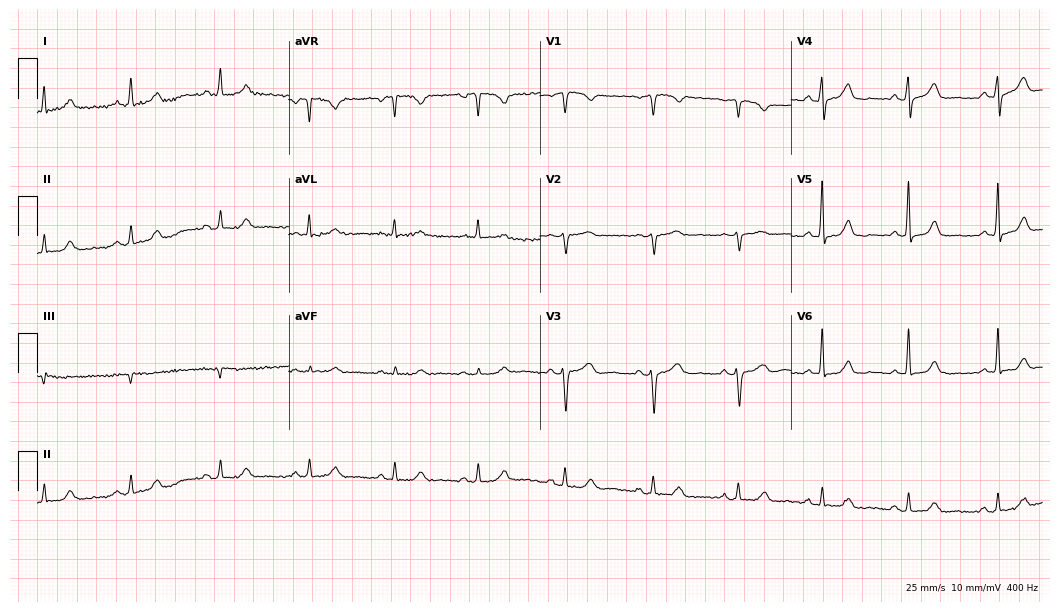
12-lead ECG from a female patient, 74 years old. Labelled as a normal ECG.